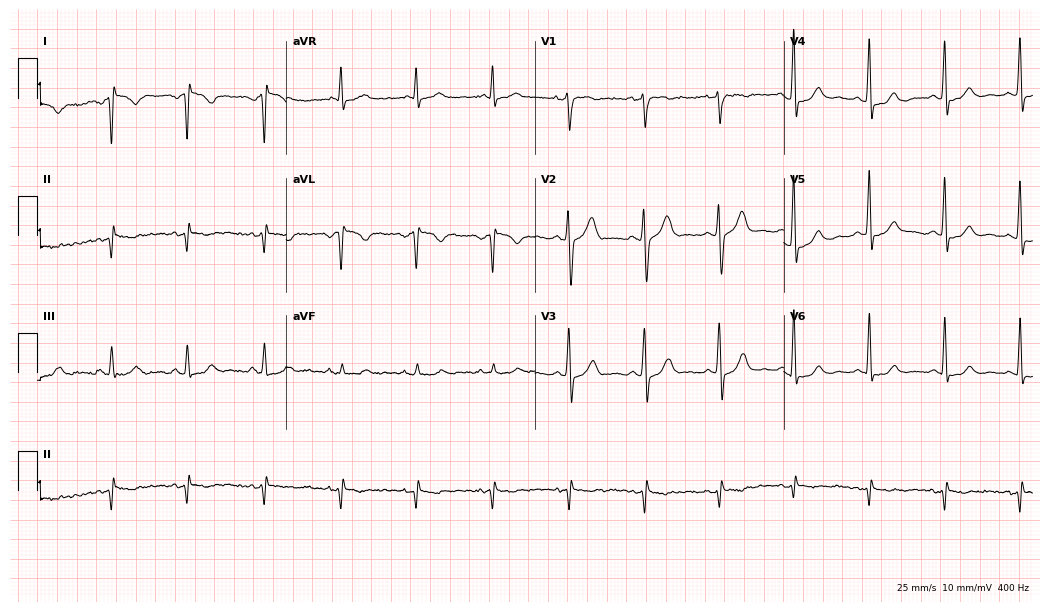
12-lead ECG from a 45-year-old man (10.1-second recording at 400 Hz). No first-degree AV block, right bundle branch block, left bundle branch block, sinus bradycardia, atrial fibrillation or sinus tachycardia recorded for this tracing.